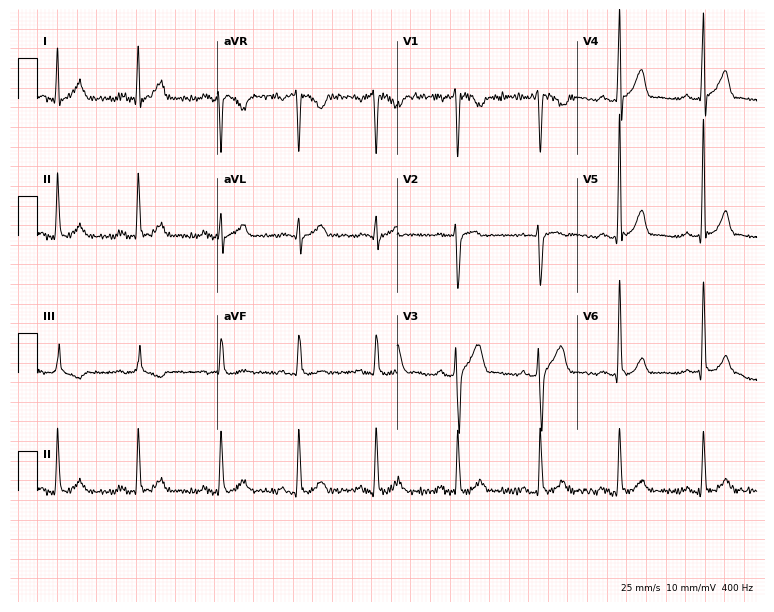
Standard 12-lead ECG recorded from a 29-year-old male (7.3-second recording at 400 Hz). None of these six findings is recorded: first-degree AV block, right bundle branch block, left bundle branch block, sinus bradycardia, atrial fibrillation, sinus tachycardia. Only these six findings were labelled.